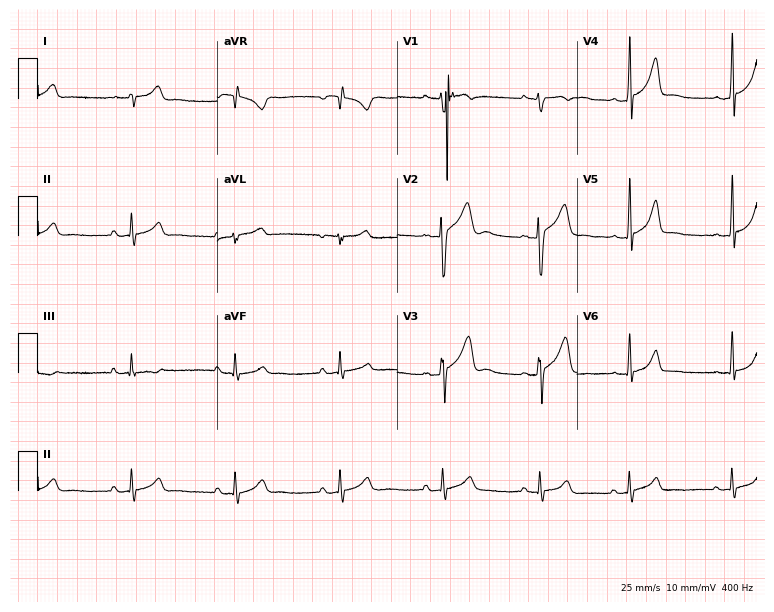
12-lead ECG (7.3-second recording at 400 Hz) from an 18-year-old male. Labelled as a normal ECG.